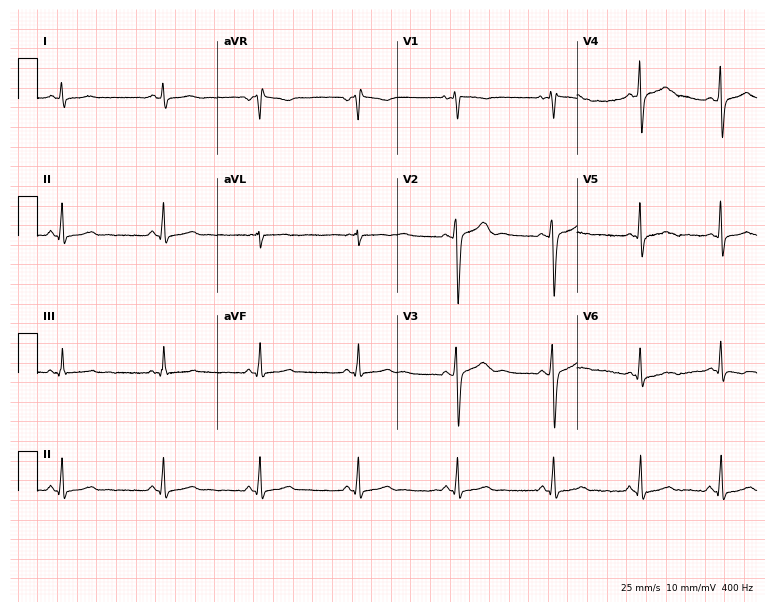
Standard 12-lead ECG recorded from a man, 36 years old (7.3-second recording at 400 Hz). Read as a normal ECG.